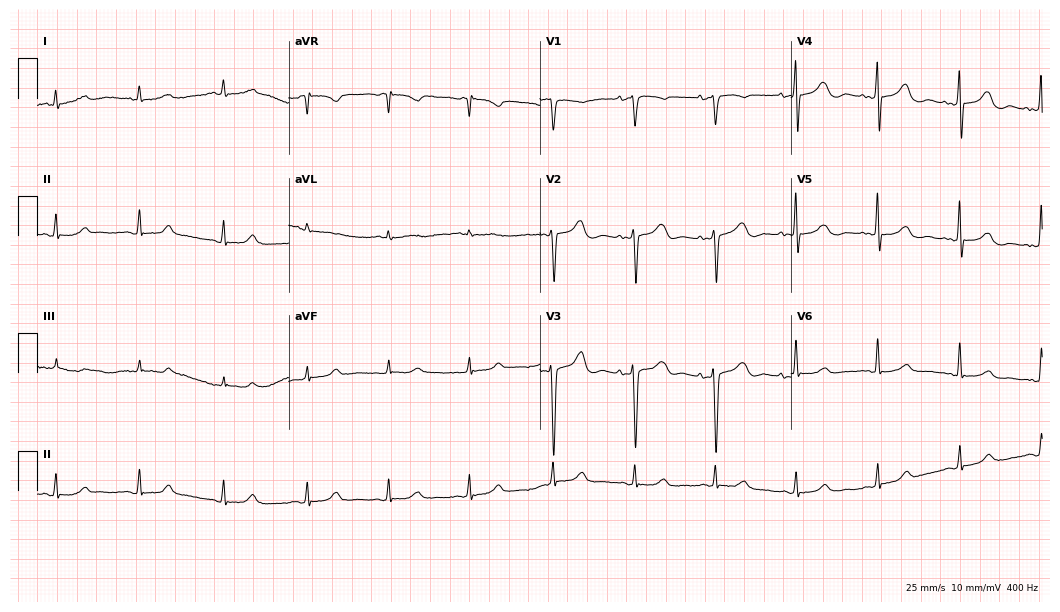
ECG (10.2-second recording at 400 Hz) — a female patient, 65 years old. Labelled as a normal ECG.